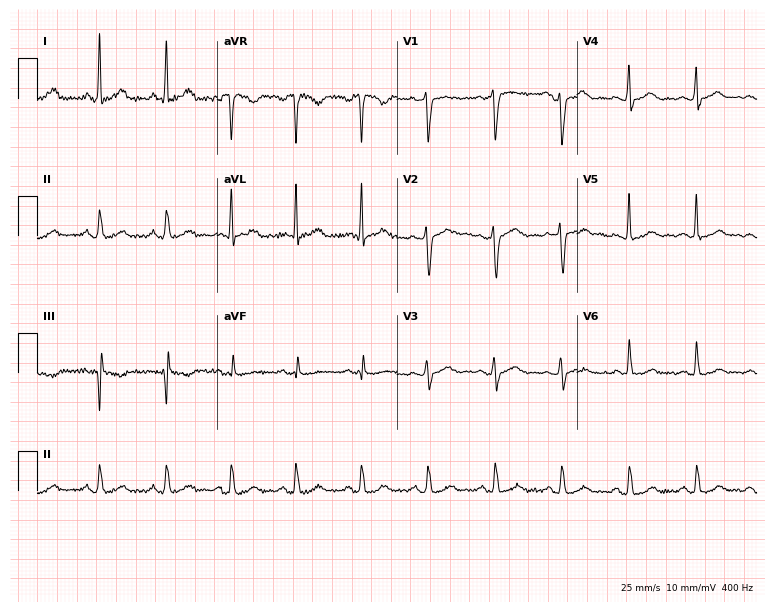
12-lead ECG (7.3-second recording at 400 Hz) from a 44-year-old male patient. Labelled as a normal ECG.